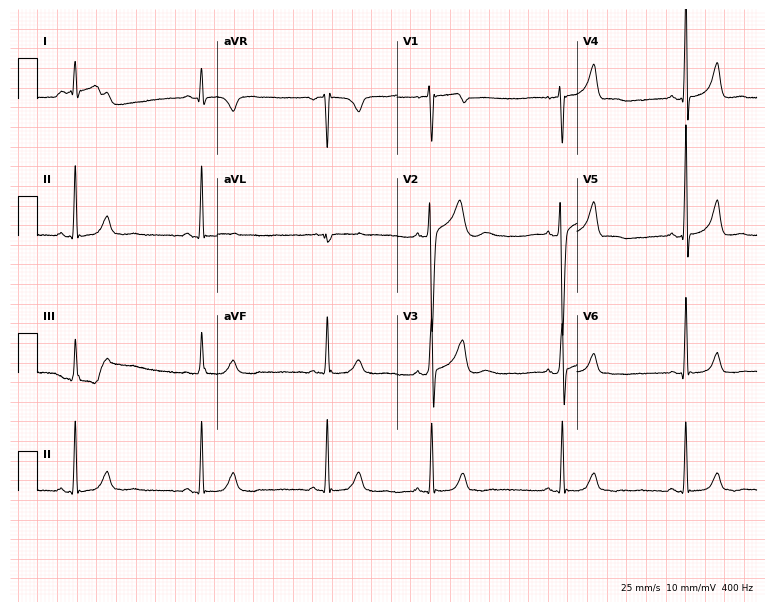
12-lead ECG from a 29-year-old man. Shows sinus bradycardia (a sinus rate of 50 beats per minute or less).